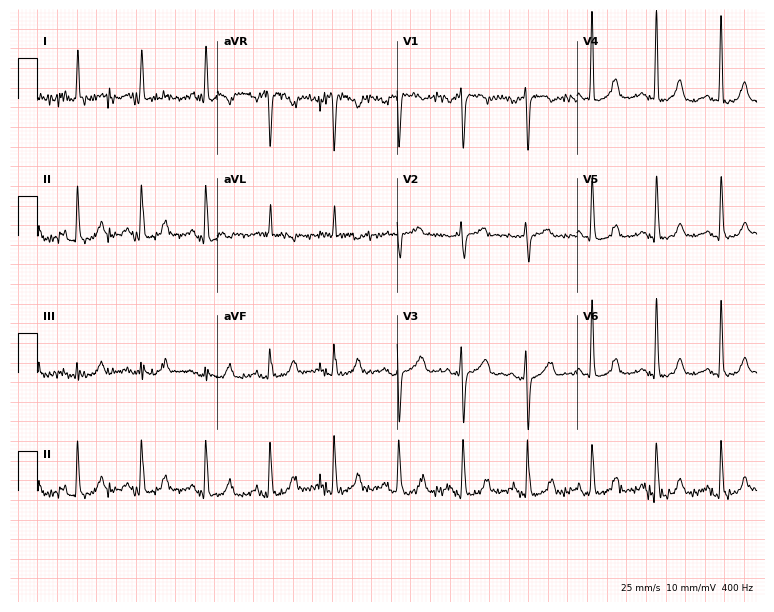
12-lead ECG from a 73-year-old woman. Labelled as a normal ECG.